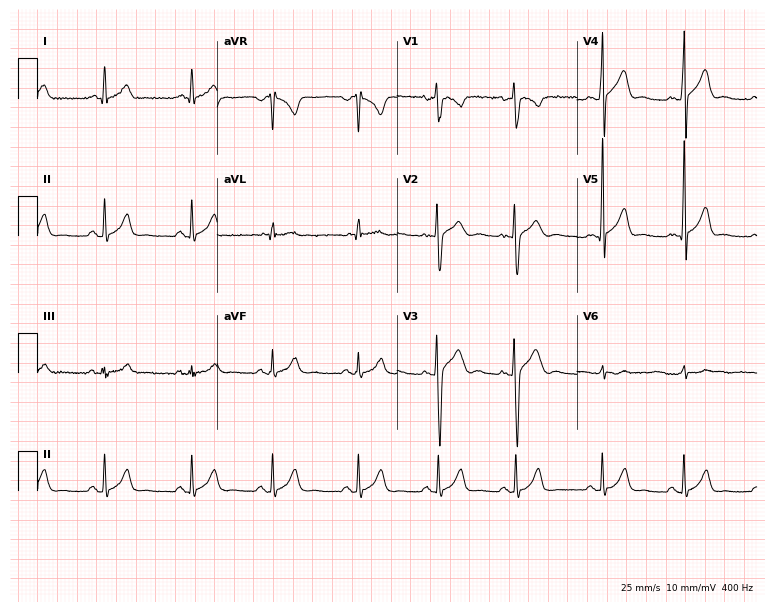
ECG — a male, 20 years old. Labelled as a normal ECG.